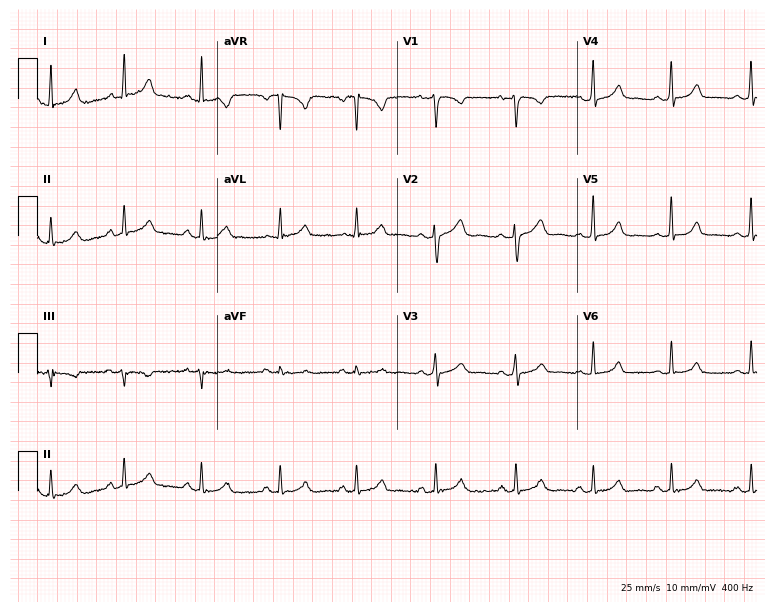
12-lead ECG from a 34-year-old female patient. Screened for six findings — first-degree AV block, right bundle branch block, left bundle branch block, sinus bradycardia, atrial fibrillation, sinus tachycardia — none is recorded. Only these six findings were labelled.